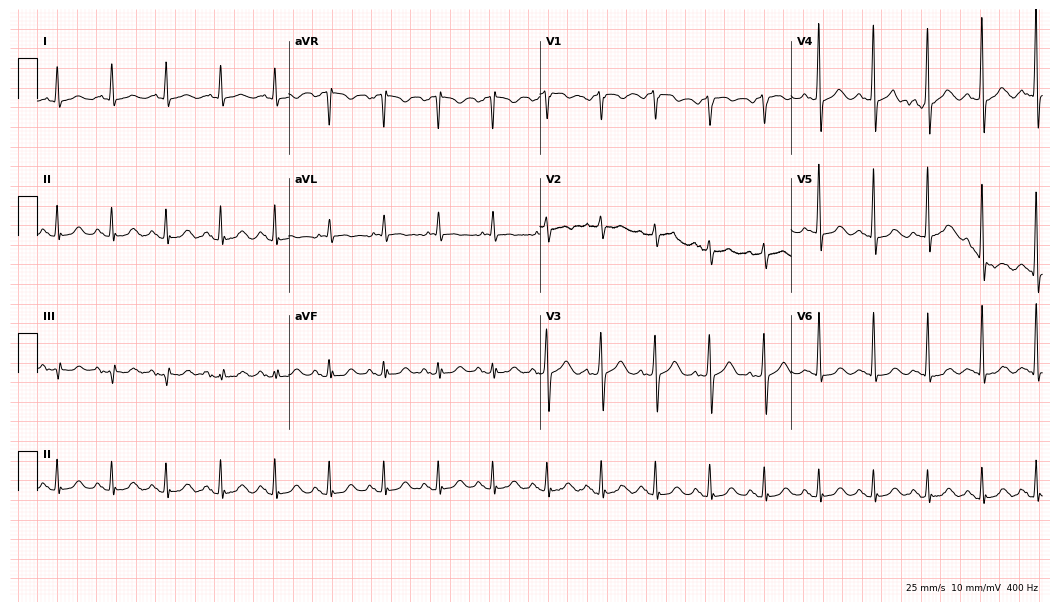
Standard 12-lead ECG recorded from an 81-year-old male patient (10.2-second recording at 400 Hz). None of these six findings is recorded: first-degree AV block, right bundle branch block, left bundle branch block, sinus bradycardia, atrial fibrillation, sinus tachycardia. Other findings, if any, are not listed.